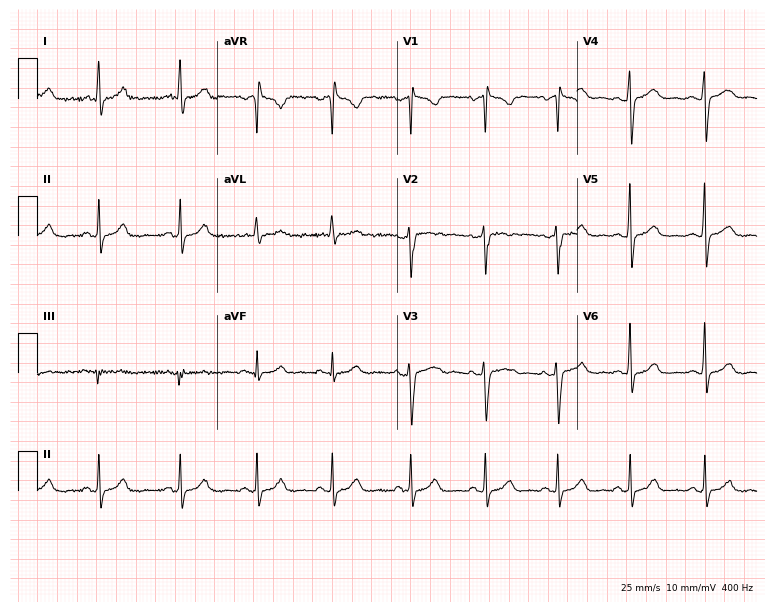
Resting 12-lead electrocardiogram (7.3-second recording at 400 Hz). Patient: a 42-year-old female. None of these six findings is recorded: first-degree AV block, right bundle branch block, left bundle branch block, sinus bradycardia, atrial fibrillation, sinus tachycardia.